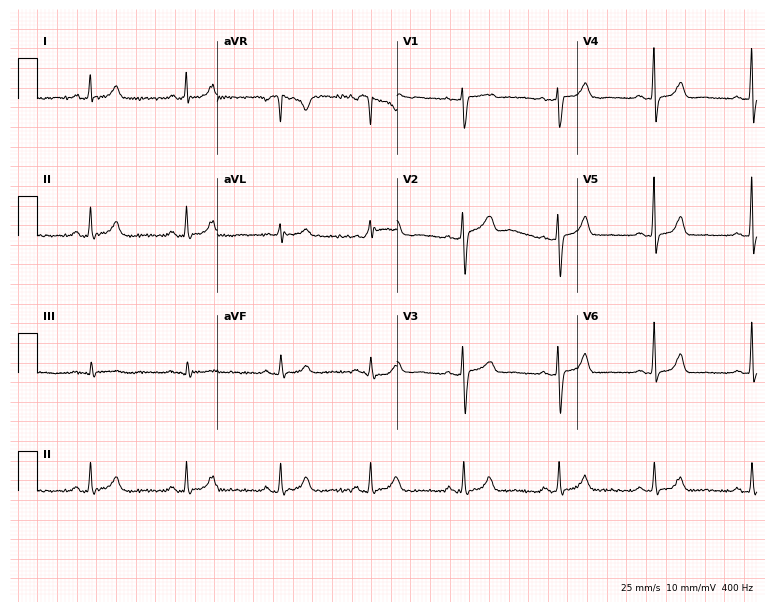
Standard 12-lead ECG recorded from a 50-year-old female. Read as a normal ECG.